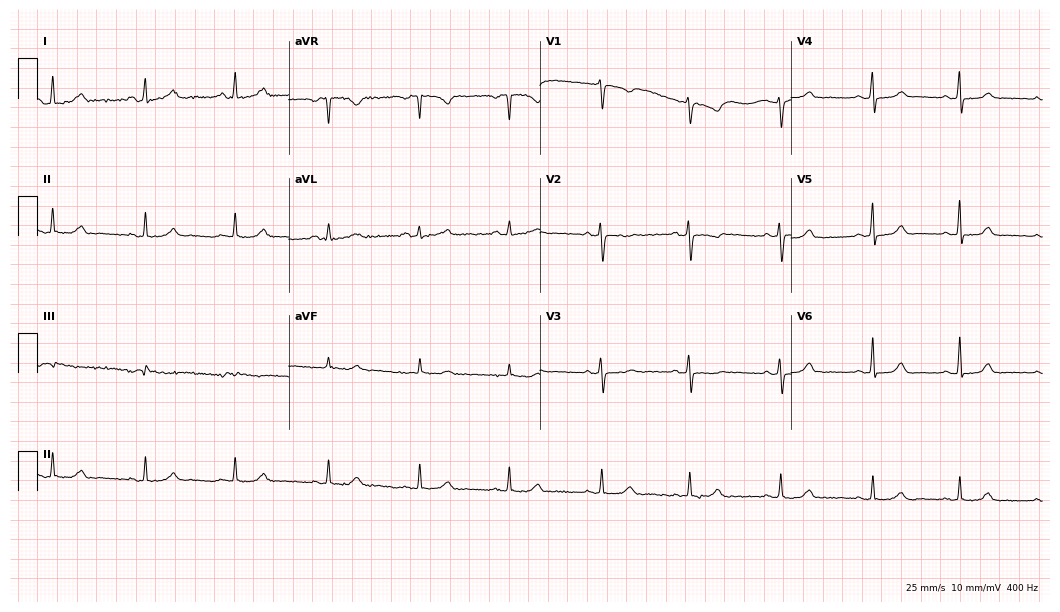
12-lead ECG (10.2-second recording at 400 Hz) from a woman, 46 years old. Labelled as a normal ECG.